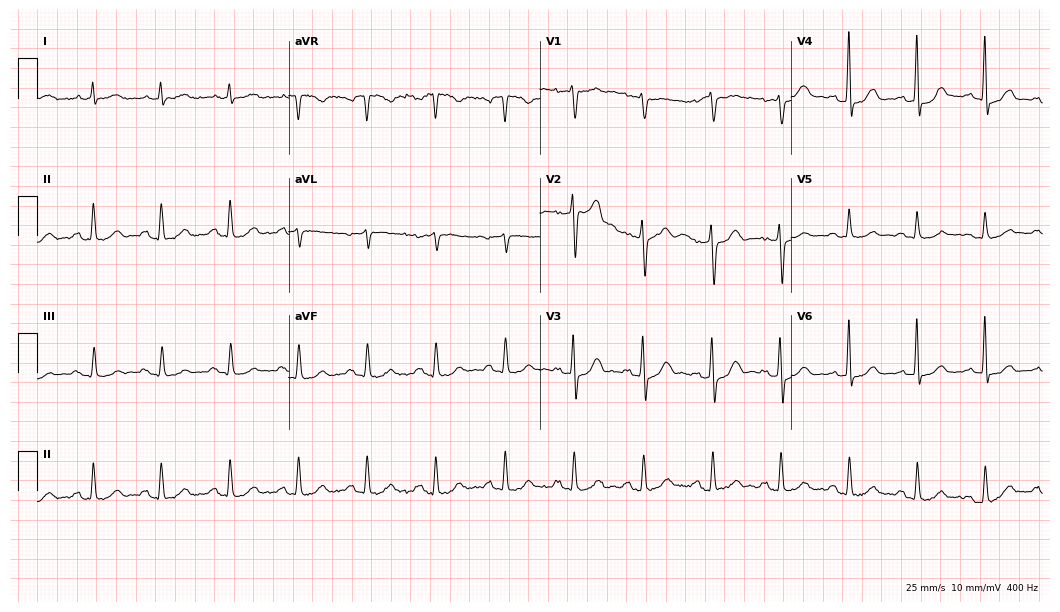
Electrocardiogram (10.2-second recording at 400 Hz), a 60-year-old man. Overall reading on record: normal ECG.